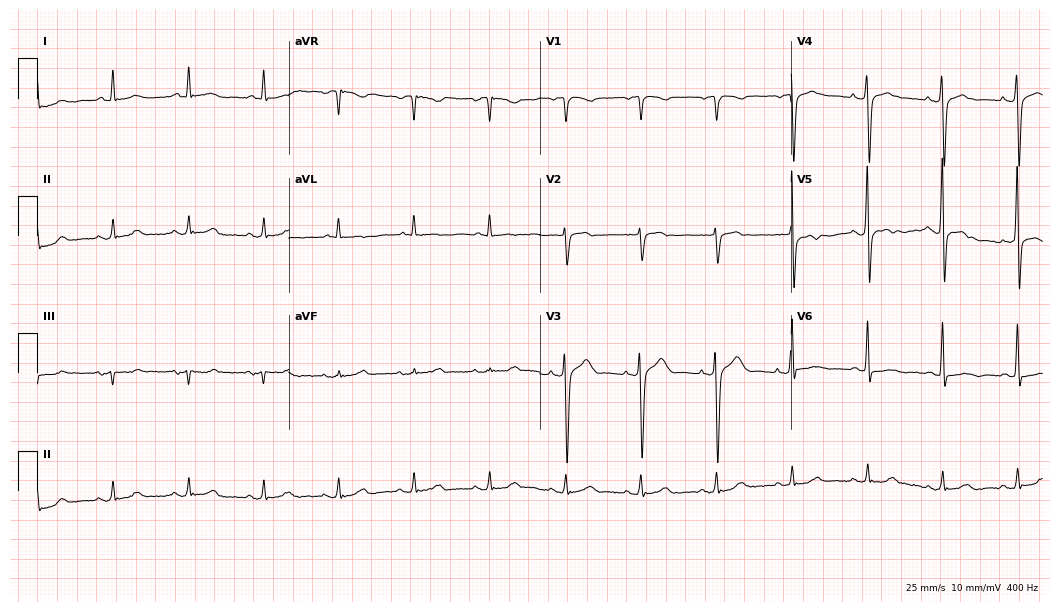
Resting 12-lead electrocardiogram (10.2-second recording at 400 Hz). Patient: a 45-year-old male. Read as a normal ECG.